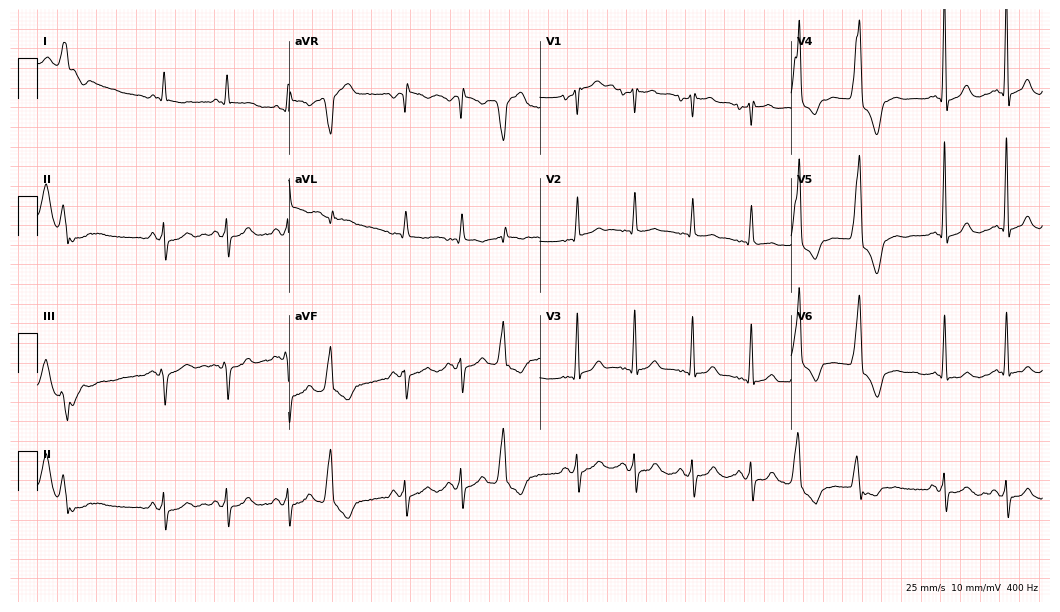
Electrocardiogram (10.2-second recording at 400 Hz), a male, 66 years old. Of the six screened findings (first-degree AV block, right bundle branch block (RBBB), left bundle branch block (LBBB), sinus bradycardia, atrial fibrillation (AF), sinus tachycardia), none is recorded. Other findings, if any, are not listed.